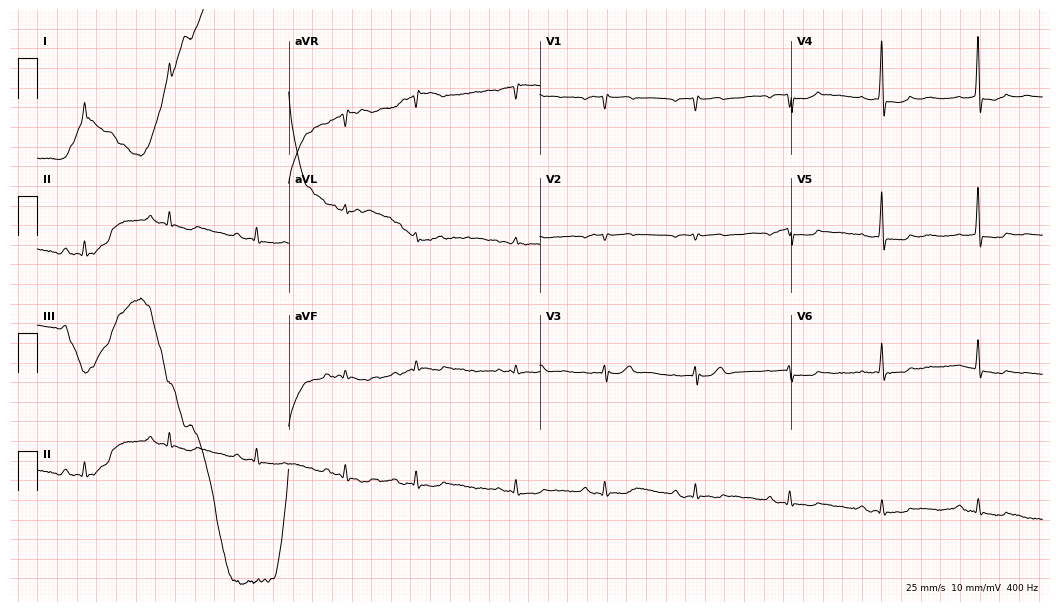
Electrocardiogram (10.2-second recording at 400 Hz), a male, 72 years old. Of the six screened findings (first-degree AV block, right bundle branch block, left bundle branch block, sinus bradycardia, atrial fibrillation, sinus tachycardia), none is recorded.